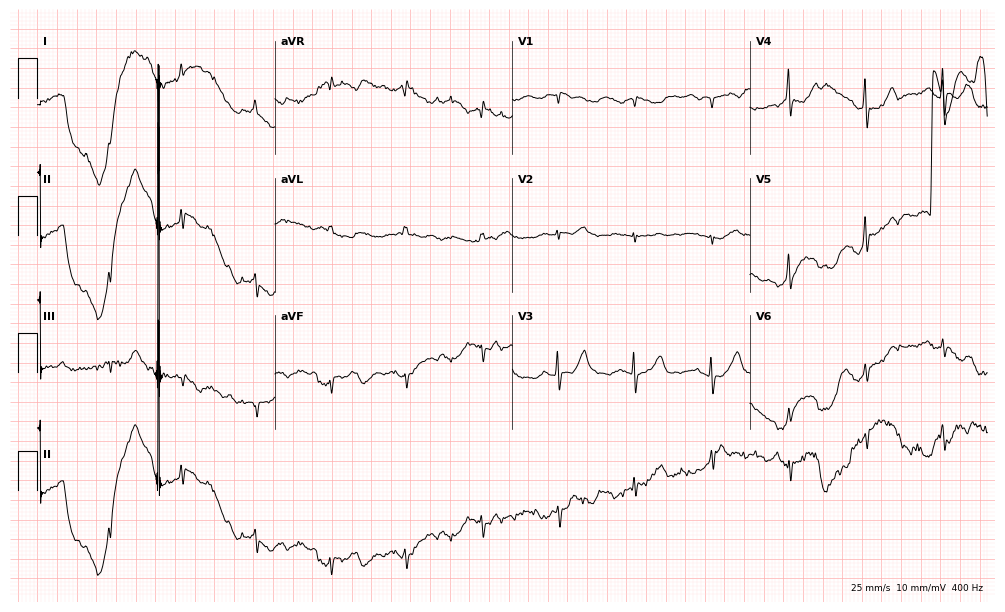
ECG — a female, 86 years old. Screened for six findings — first-degree AV block, right bundle branch block (RBBB), left bundle branch block (LBBB), sinus bradycardia, atrial fibrillation (AF), sinus tachycardia — none is recorded.